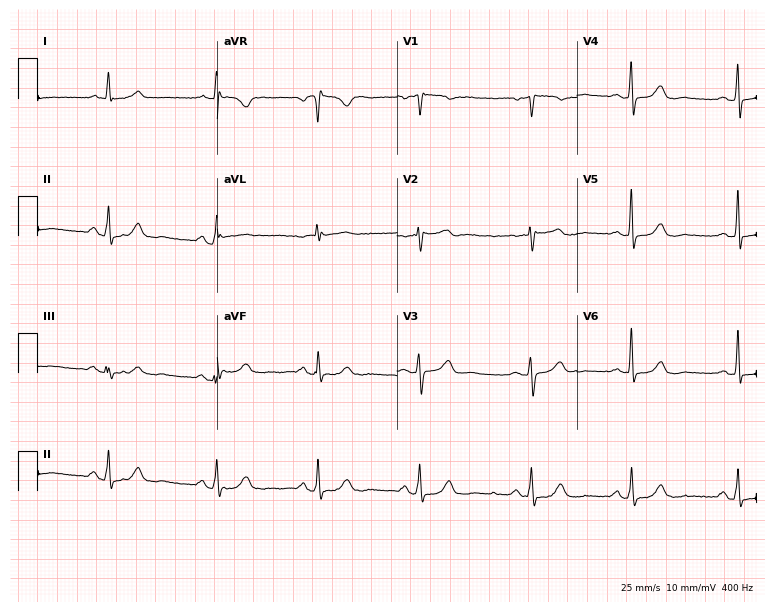
Electrocardiogram, a male, 61 years old. Of the six screened findings (first-degree AV block, right bundle branch block, left bundle branch block, sinus bradycardia, atrial fibrillation, sinus tachycardia), none is recorded.